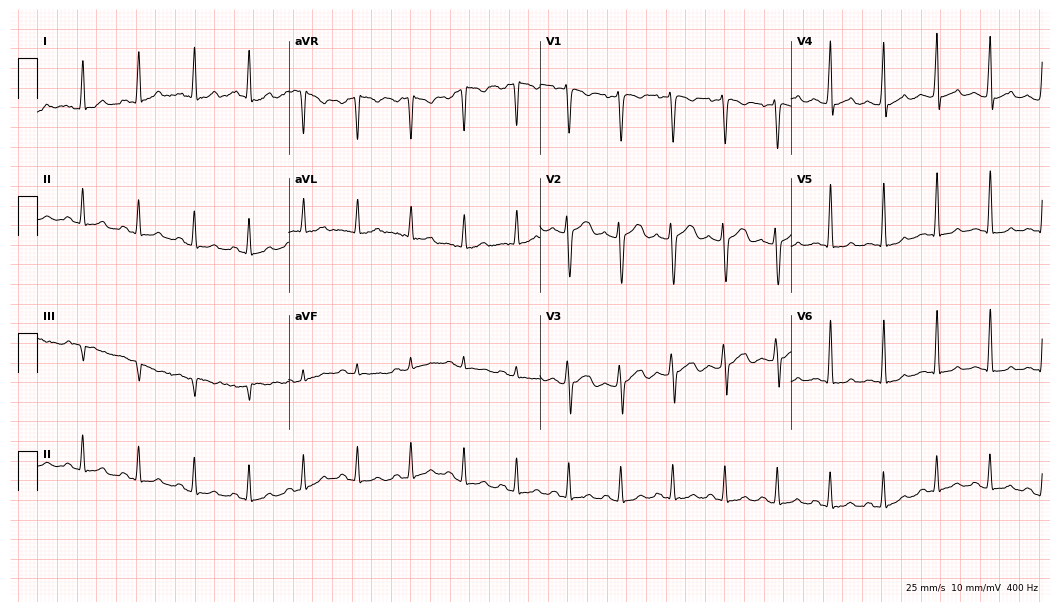
Resting 12-lead electrocardiogram. Patient: a male, 30 years old. The tracing shows sinus tachycardia (a sinus rate of 100 beats per minute or more).